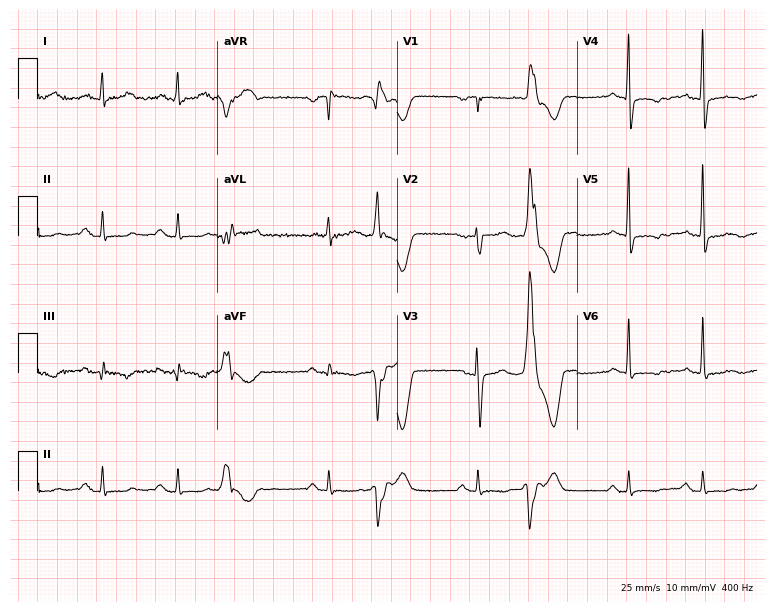
ECG (7.3-second recording at 400 Hz) — a female patient, 69 years old. Screened for six findings — first-degree AV block, right bundle branch block (RBBB), left bundle branch block (LBBB), sinus bradycardia, atrial fibrillation (AF), sinus tachycardia — none is recorded. Findings outside these six are not listed.